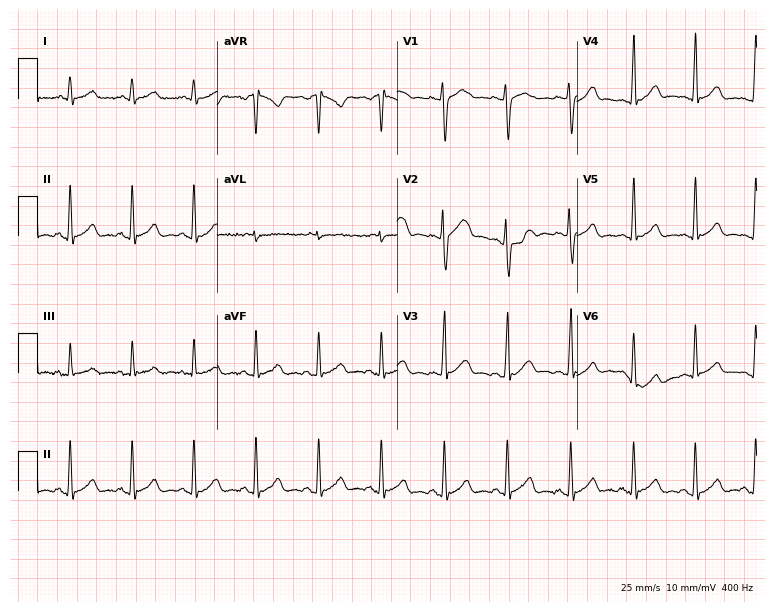
Standard 12-lead ECG recorded from a female patient, 18 years old (7.3-second recording at 400 Hz). Read as a normal ECG.